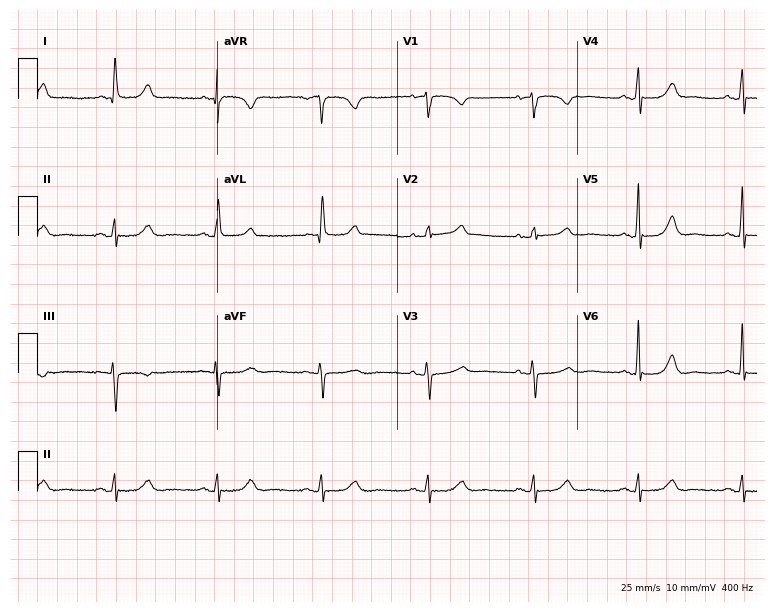
12-lead ECG from a 71-year-old woman. Labelled as a normal ECG.